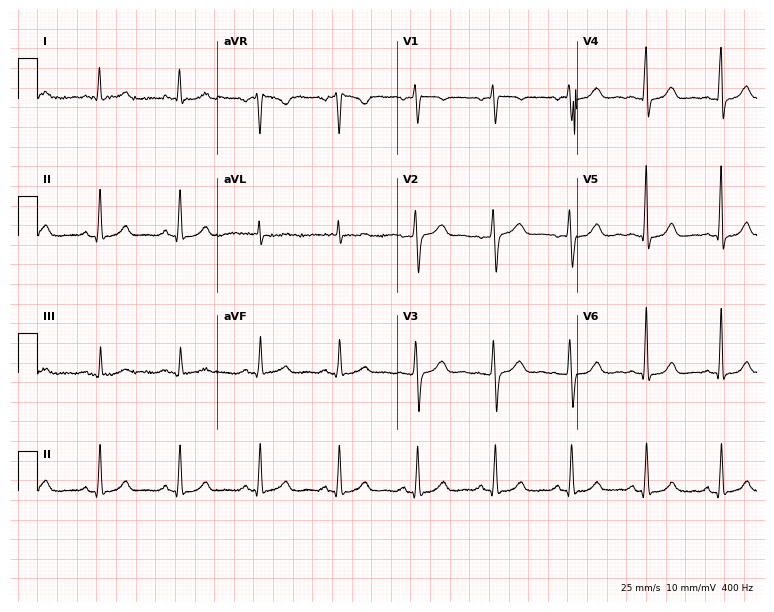
Standard 12-lead ECG recorded from a woman, 50 years old (7.3-second recording at 400 Hz). Read as a normal ECG.